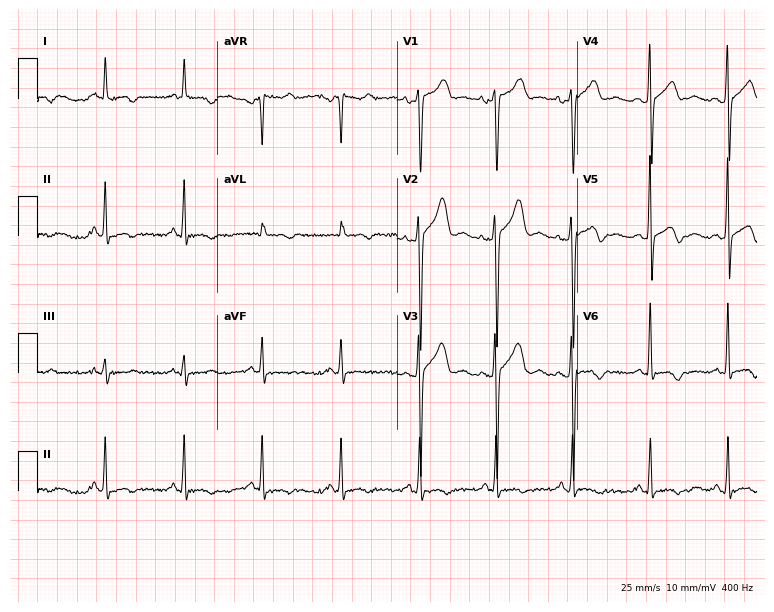
Electrocardiogram, a 44-year-old male. Of the six screened findings (first-degree AV block, right bundle branch block (RBBB), left bundle branch block (LBBB), sinus bradycardia, atrial fibrillation (AF), sinus tachycardia), none is recorded. Findings outside these six are not listed.